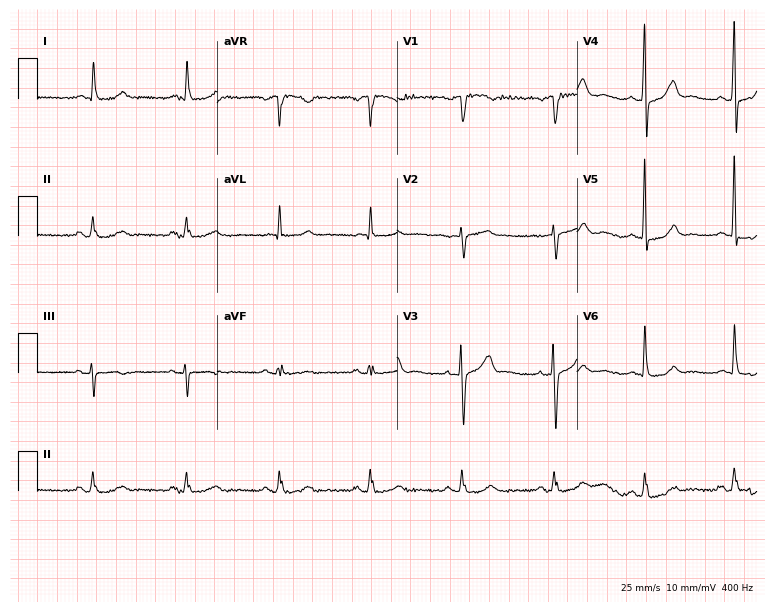
Standard 12-lead ECG recorded from a male patient, 68 years old. Read as a normal ECG.